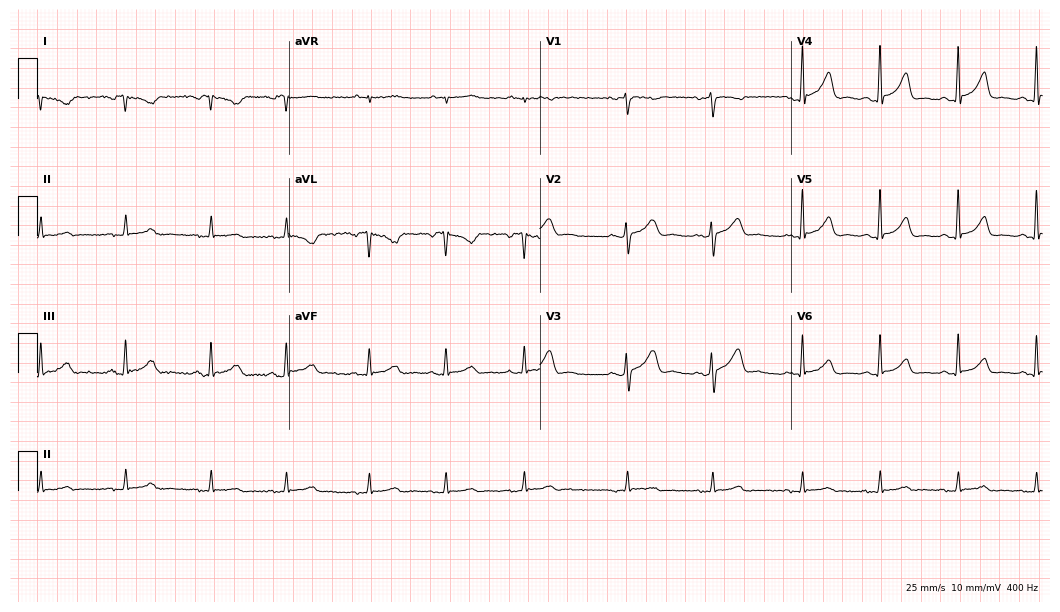
ECG (10.2-second recording at 400 Hz) — a 37-year-old female. Screened for six findings — first-degree AV block, right bundle branch block (RBBB), left bundle branch block (LBBB), sinus bradycardia, atrial fibrillation (AF), sinus tachycardia — none is recorded. Only these six findings were labelled.